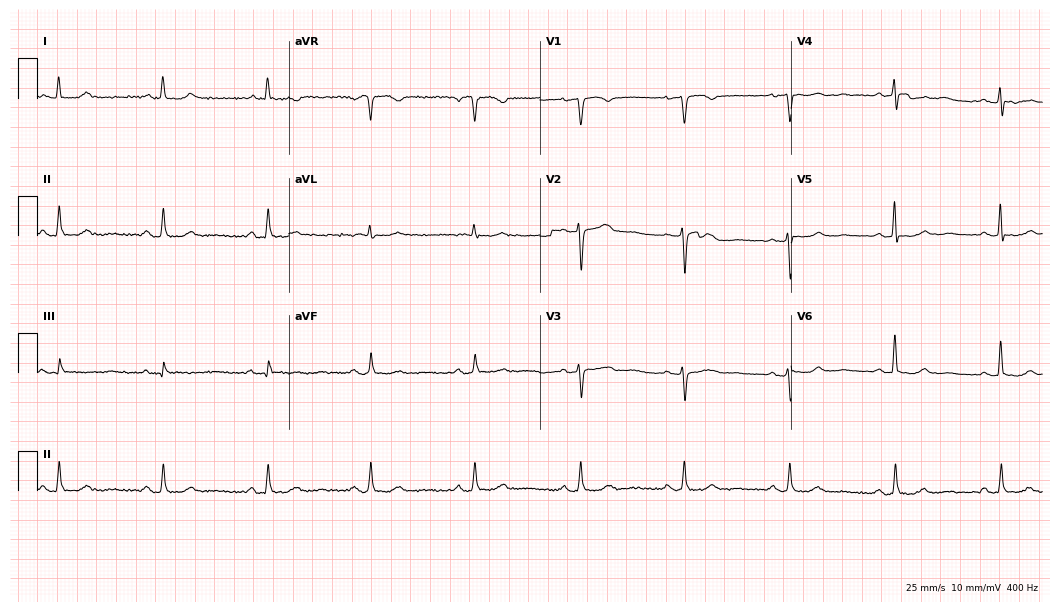
Electrocardiogram, a woman, 61 years old. Of the six screened findings (first-degree AV block, right bundle branch block (RBBB), left bundle branch block (LBBB), sinus bradycardia, atrial fibrillation (AF), sinus tachycardia), none is recorded.